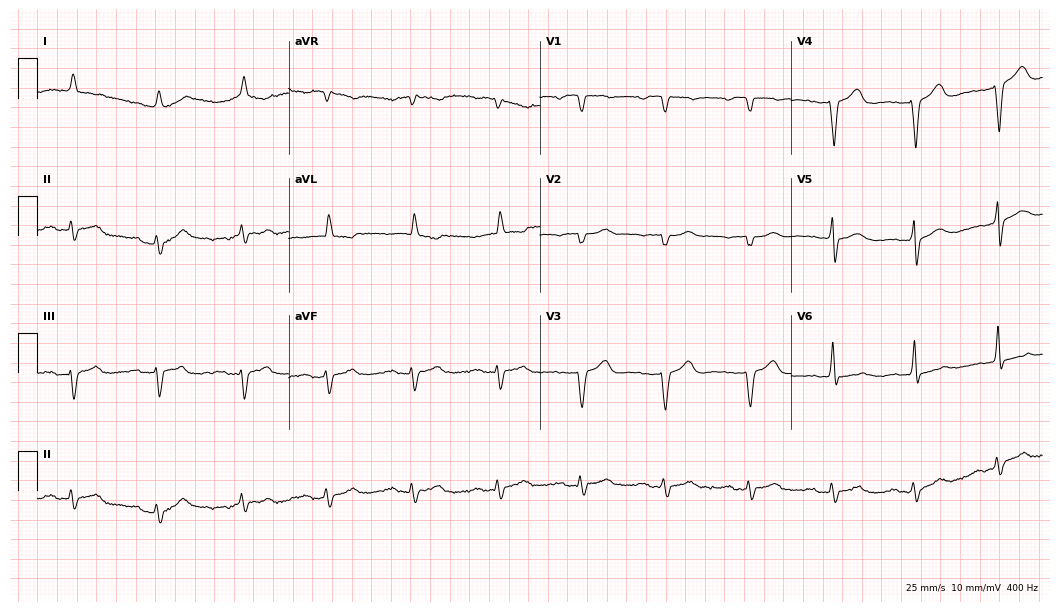
Electrocardiogram (10.2-second recording at 400 Hz), a female, 85 years old. Interpretation includes first-degree AV block.